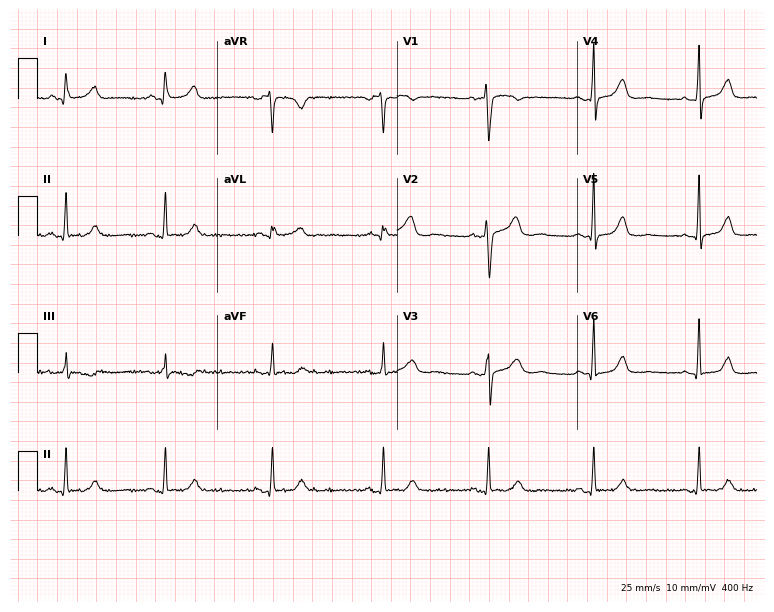
Electrocardiogram (7.3-second recording at 400 Hz), a woman, 41 years old. Of the six screened findings (first-degree AV block, right bundle branch block (RBBB), left bundle branch block (LBBB), sinus bradycardia, atrial fibrillation (AF), sinus tachycardia), none is recorded.